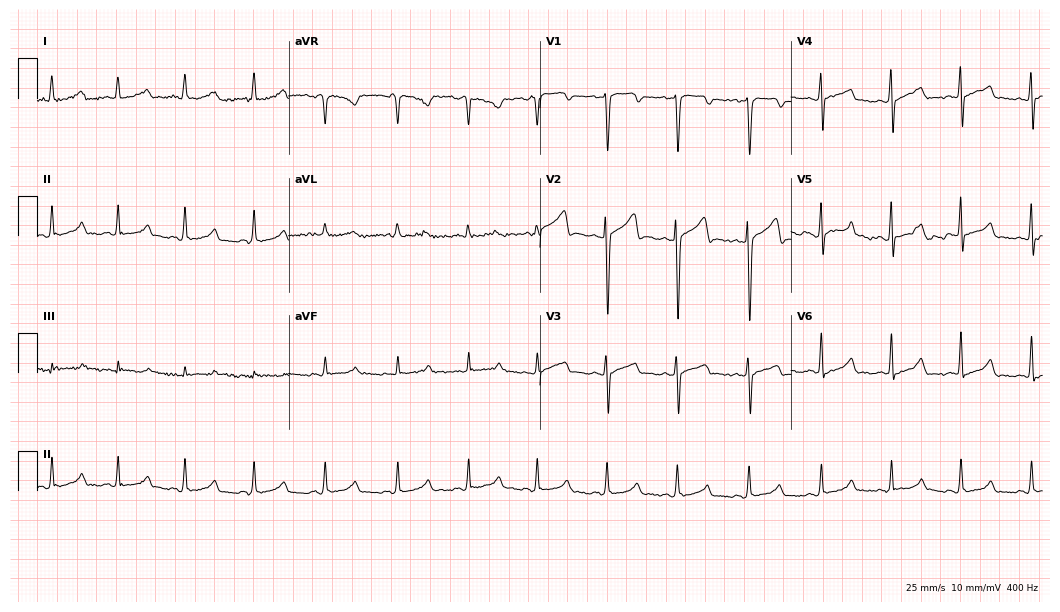
12-lead ECG from a female, 28 years old. Recorded interpretation: within normal limits.